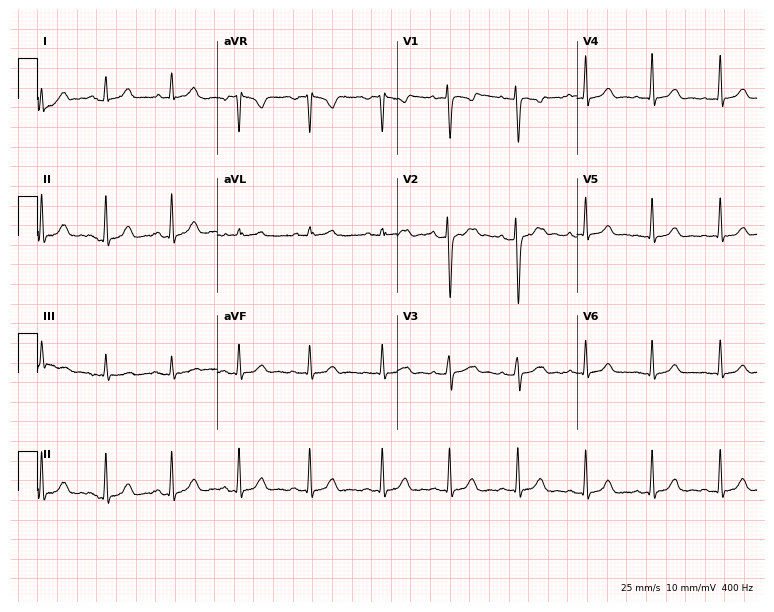
12-lead ECG from a female, 31 years old. Recorded interpretation: within normal limits.